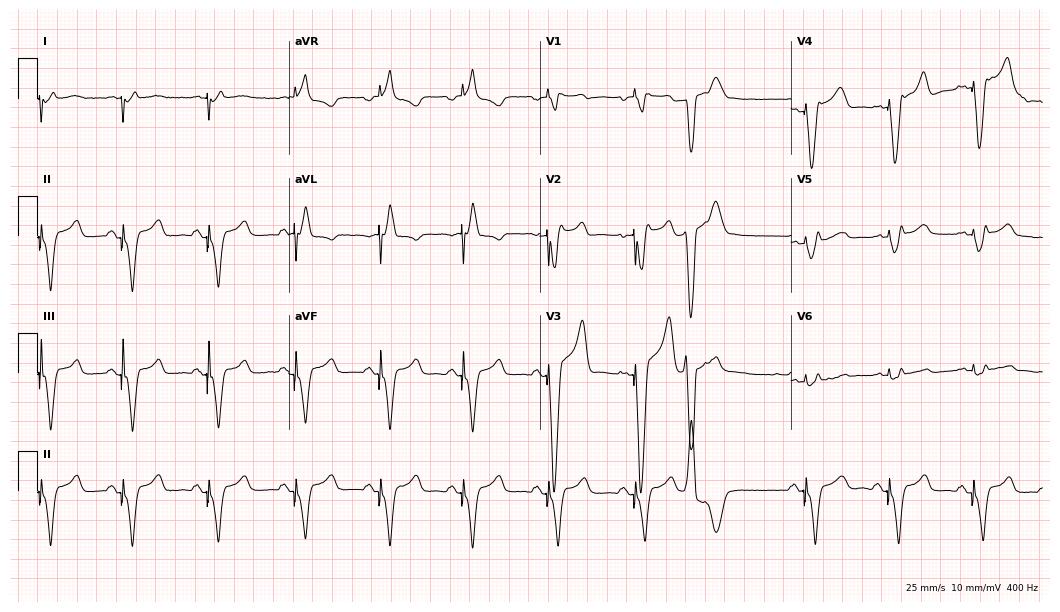
12-lead ECG from a man, 59 years old (10.2-second recording at 400 Hz). No first-degree AV block, right bundle branch block, left bundle branch block, sinus bradycardia, atrial fibrillation or sinus tachycardia recorded for this tracing.